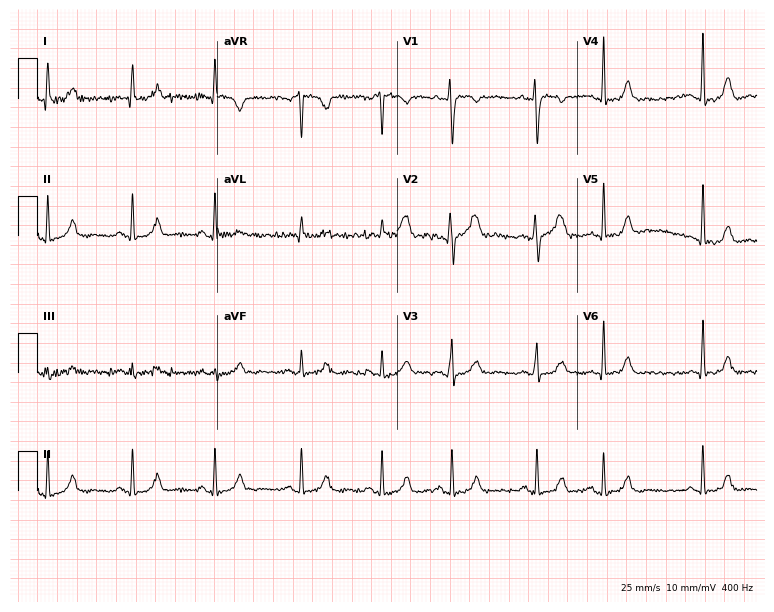
Standard 12-lead ECG recorded from a female, 32 years old (7.3-second recording at 400 Hz). None of these six findings is recorded: first-degree AV block, right bundle branch block, left bundle branch block, sinus bradycardia, atrial fibrillation, sinus tachycardia.